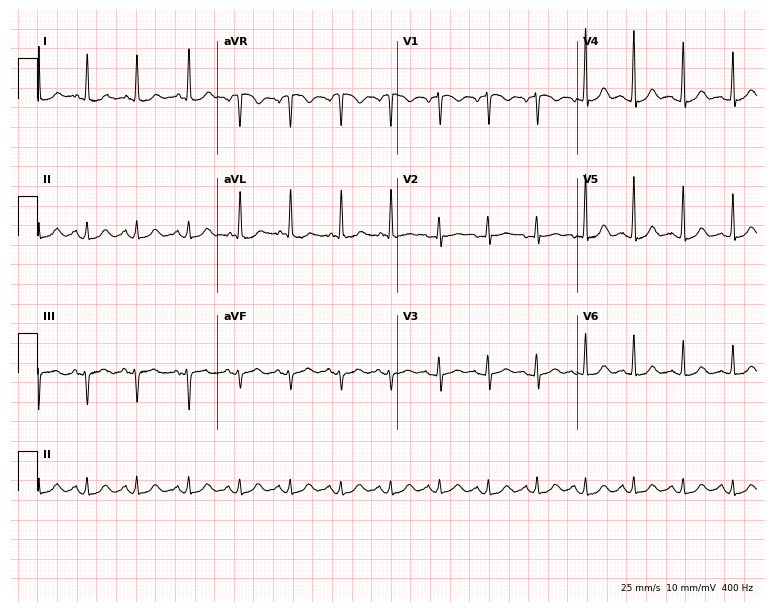
Resting 12-lead electrocardiogram (7.3-second recording at 400 Hz). Patient: a woman, 60 years old. The tracing shows sinus tachycardia (a sinus rate of 100 beats per minute or more).